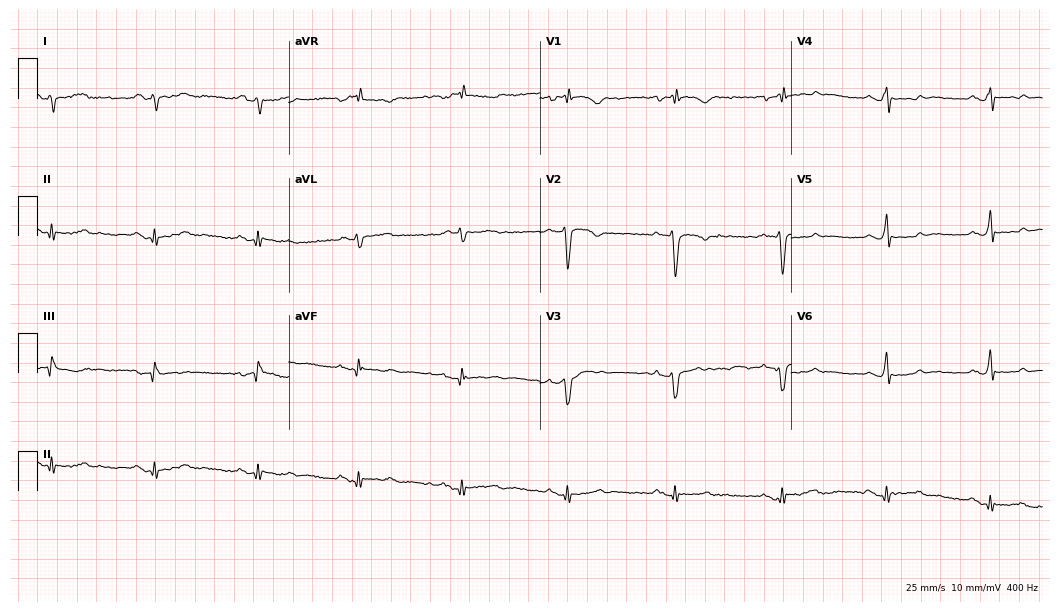
ECG (10.2-second recording at 400 Hz) — a female, 49 years old. Screened for six findings — first-degree AV block, right bundle branch block (RBBB), left bundle branch block (LBBB), sinus bradycardia, atrial fibrillation (AF), sinus tachycardia — none is recorded.